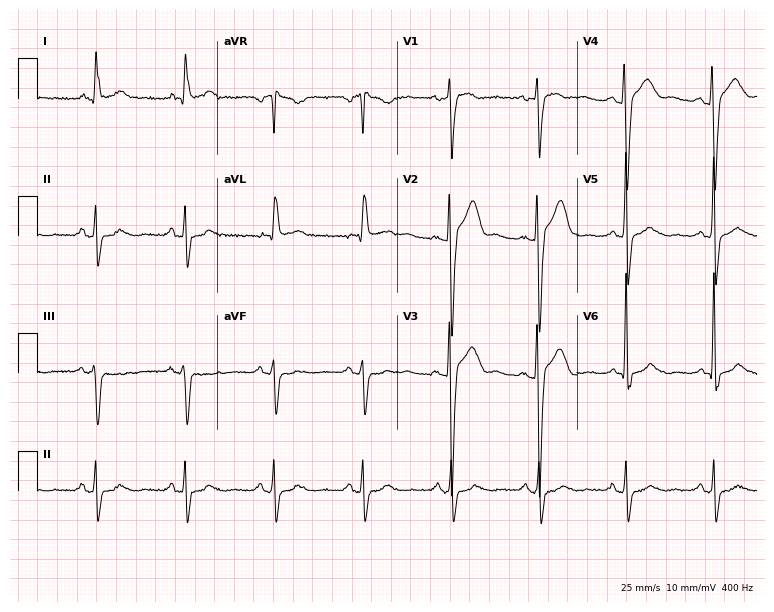
Electrocardiogram (7.3-second recording at 400 Hz), a female patient, 59 years old. Of the six screened findings (first-degree AV block, right bundle branch block, left bundle branch block, sinus bradycardia, atrial fibrillation, sinus tachycardia), none is recorded.